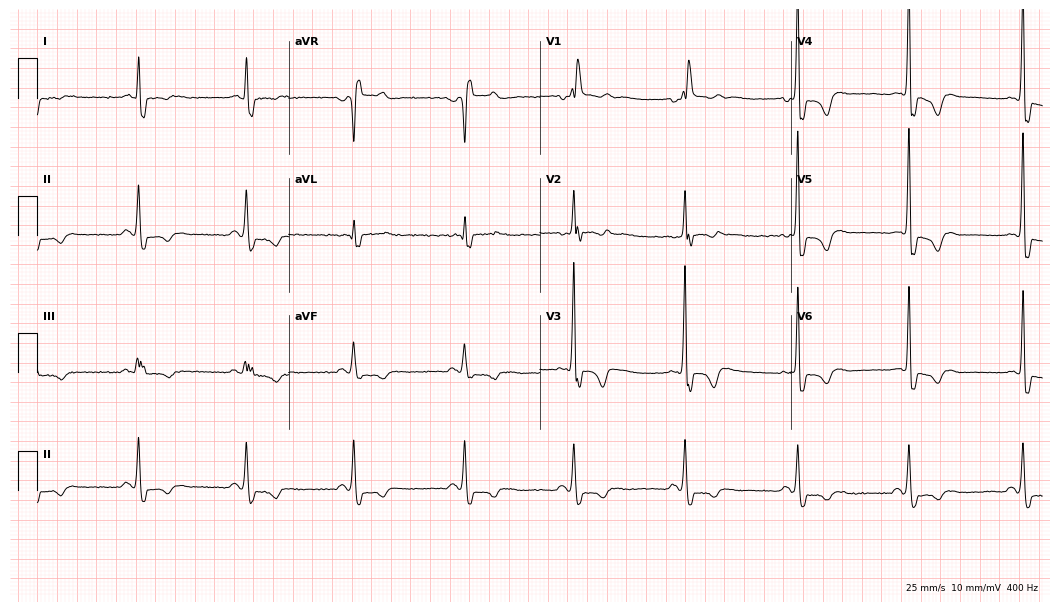
ECG — a man, 69 years old. Findings include right bundle branch block.